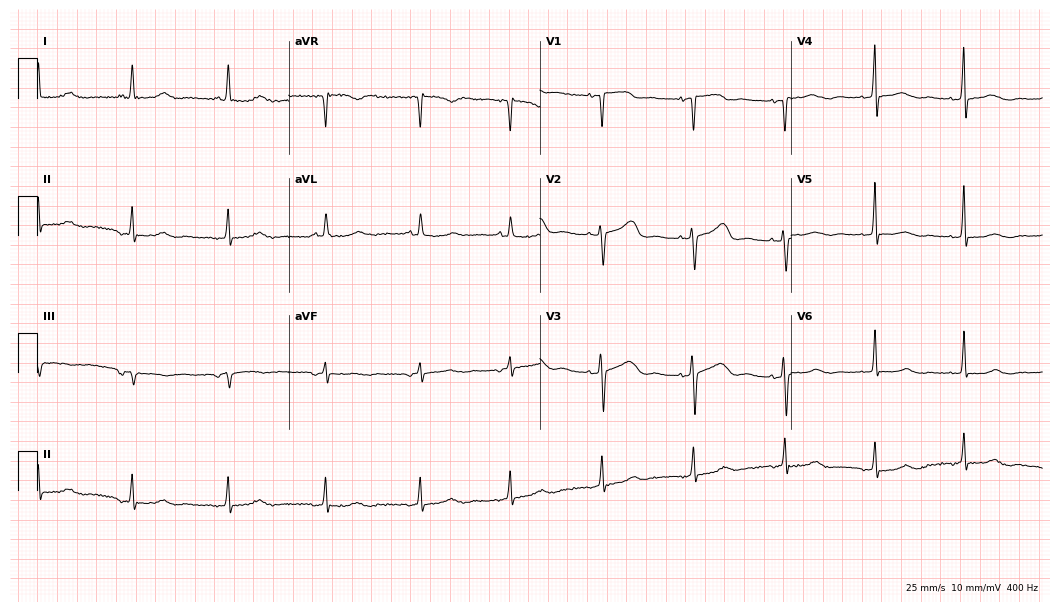
Resting 12-lead electrocardiogram. Patient: a 79-year-old female. None of these six findings is recorded: first-degree AV block, right bundle branch block, left bundle branch block, sinus bradycardia, atrial fibrillation, sinus tachycardia.